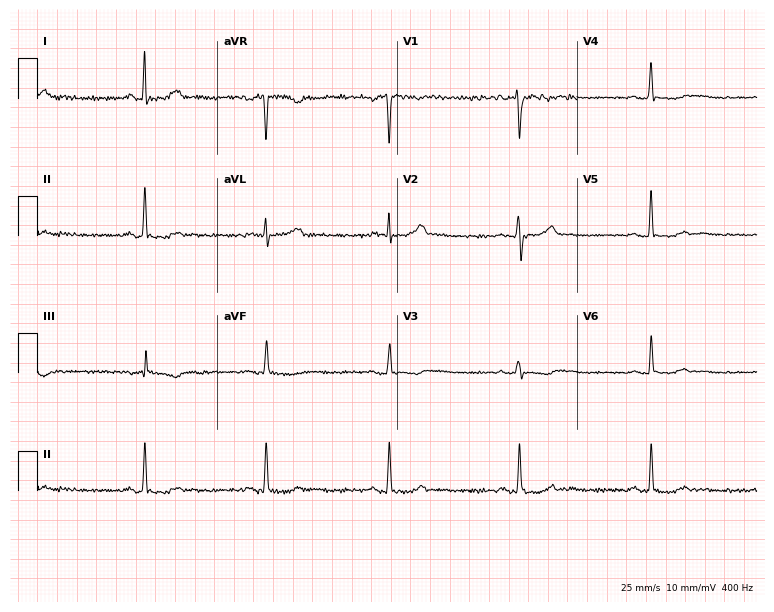
12-lead ECG from a female patient, 41 years old. Shows sinus bradycardia (a sinus rate of 50 beats per minute or less).